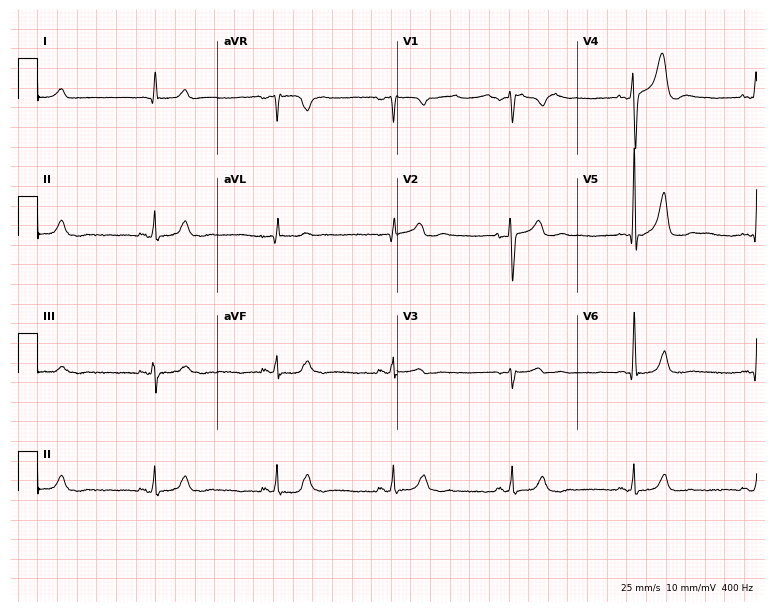
12-lead ECG (7.3-second recording at 400 Hz) from a male, 65 years old. Labelled as a normal ECG.